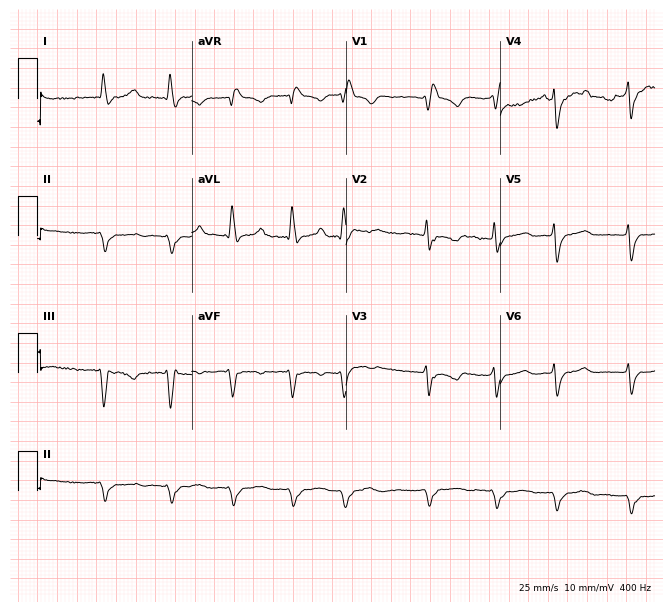
12-lead ECG from a female, 80 years old. No first-degree AV block, right bundle branch block (RBBB), left bundle branch block (LBBB), sinus bradycardia, atrial fibrillation (AF) or sinus tachycardia recorded for this tracing.